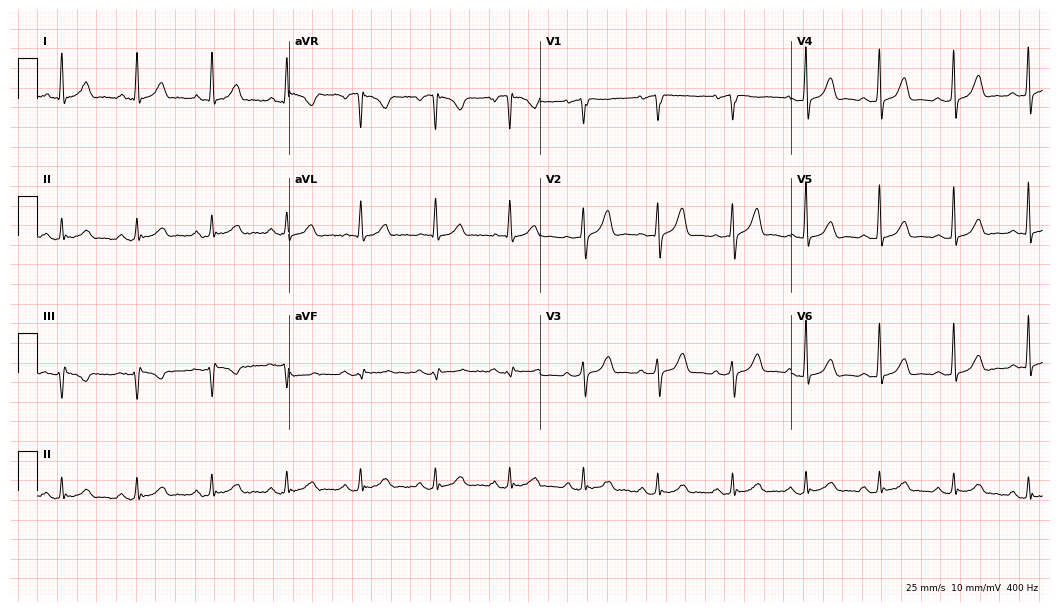
Standard 12-lead ECG recorded from an 80-year-old female. Read as a normal ECG.